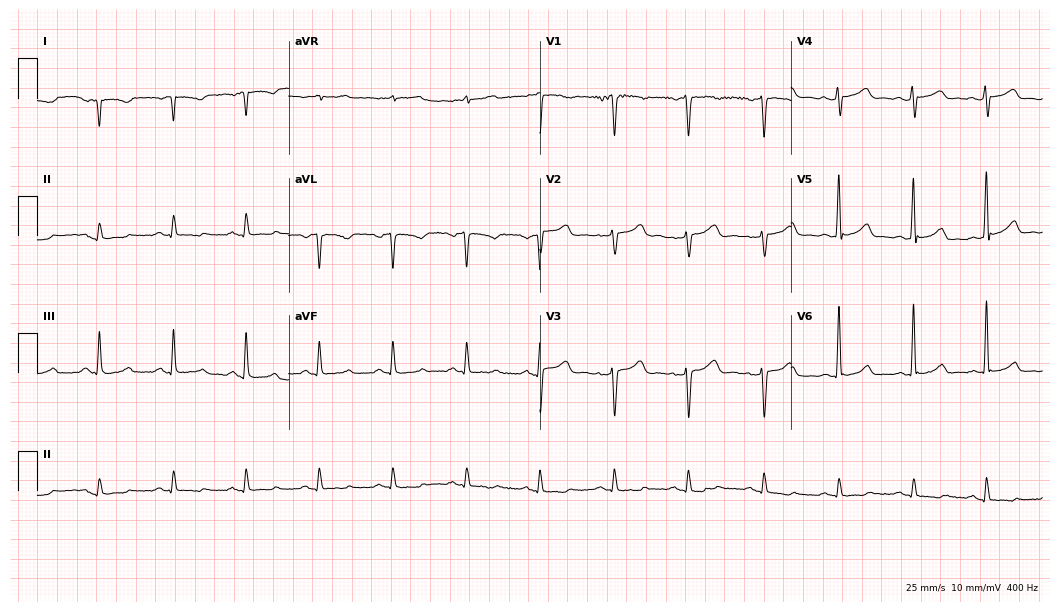
Standard 12-lead ECG recorded from a female, 49 years old. None of these six findings is recorded: first-degree AV block, right bundle branch block (RBBB), left bundle branch block (LBBB), sinus bradycardia, atrial fibrillation (AF), sinus tachycardia. Other findings, if any, are not listed.